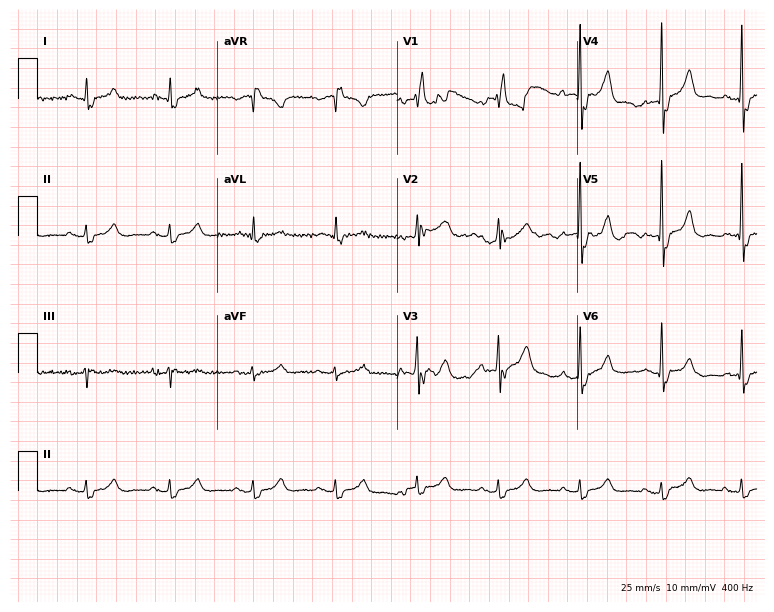
Standard 12-lead ECG recorded from a male patient, 76 years old. The tracing shows right bundle branch block (RBBB).